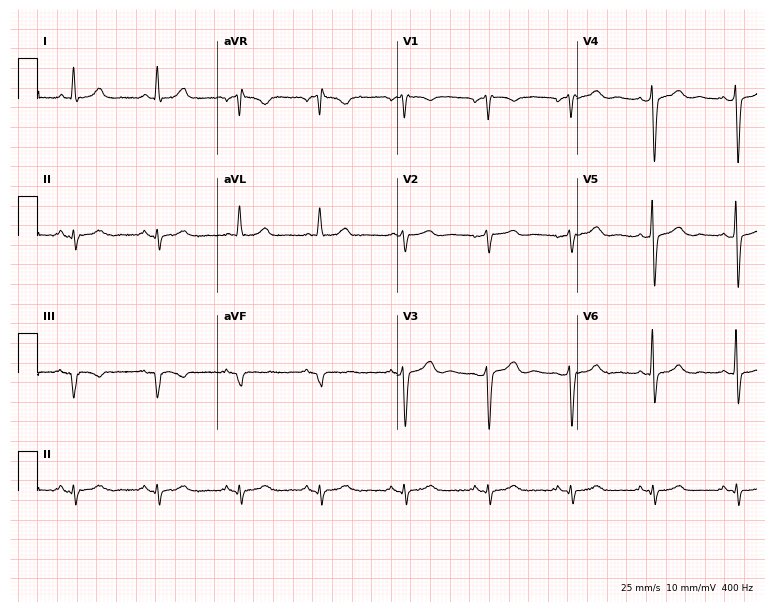
Standard 12-lead ECG recorded from a 61-year-old male (7.3-second recording at 400 Hz). None of these six findings is recorded: first-degree AV block, right bundle branch block, left bundle branch block, sinus bradycardia, atrial fibrillation, sinus tachycardia.